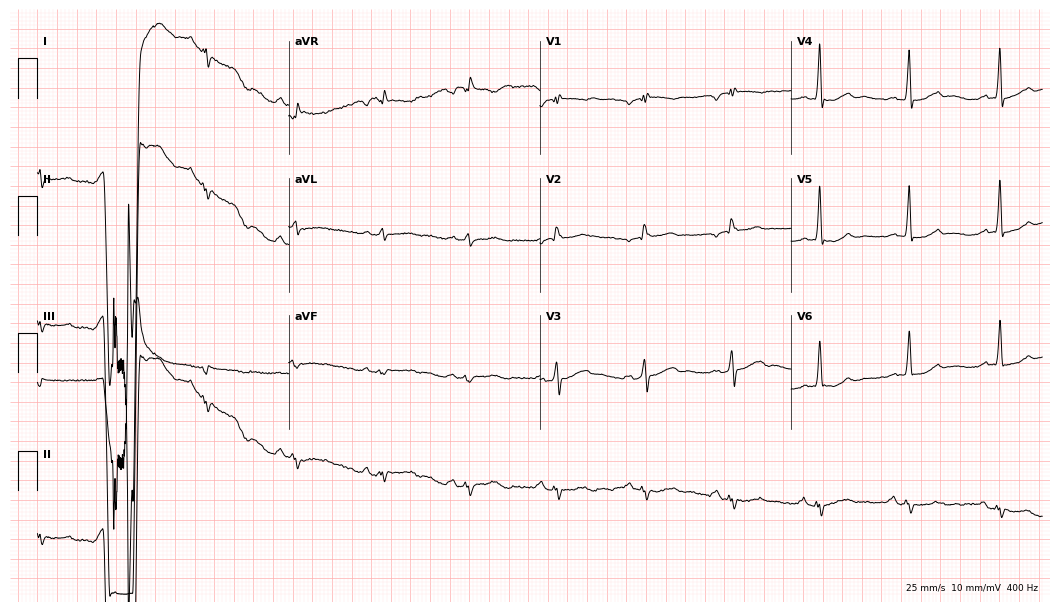
Electrocardiogram (10.2-second recording at 400 Hz), a 72-year-old man. Of the six screened findings (first-degree AV block, right bundle branch block, left bundle branch block, sinus bradycardia, atrial fibrillation, sinus tachycardia), none is recorded.